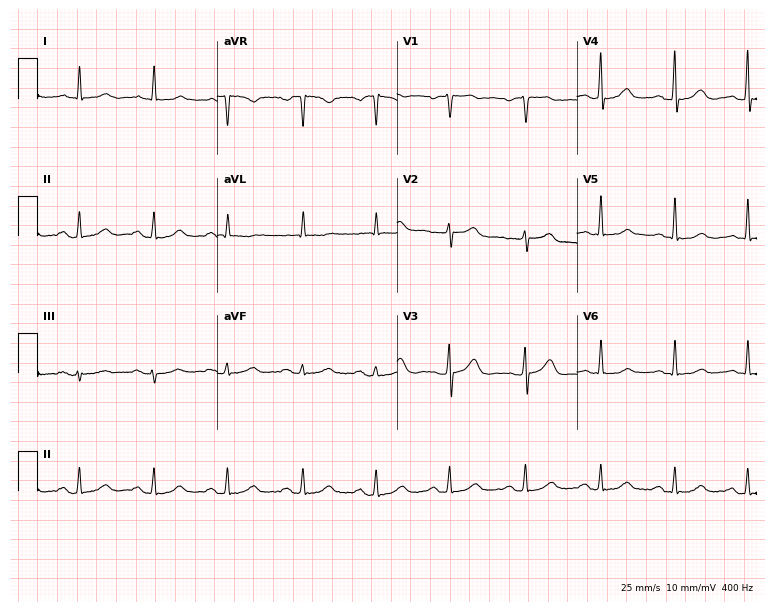
12-lead ECG from a 66-year-old female patient (7.3-second recording at 400 Hz). No first-degree AV block, right bundle branch block (RBBB), left bundle branch block (LBBB), sinus bradycardia, atrial fibrillation (AF) or sinus tachycardia recorded for this tracing. Only these six findings were labelled.